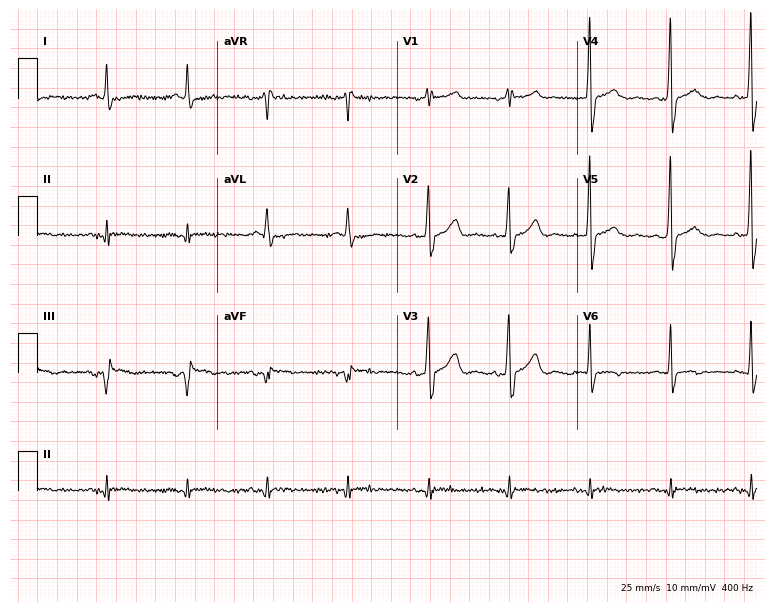
ECG (7.3-second recording at 400 Hz) — a female patient, 76 years old. Screened for six findings — first-degree AV block, right bundle branch block, left bundle branch block, sinus bradycardia, atrial fibrillation, sinus tachycardia — none is recorded.